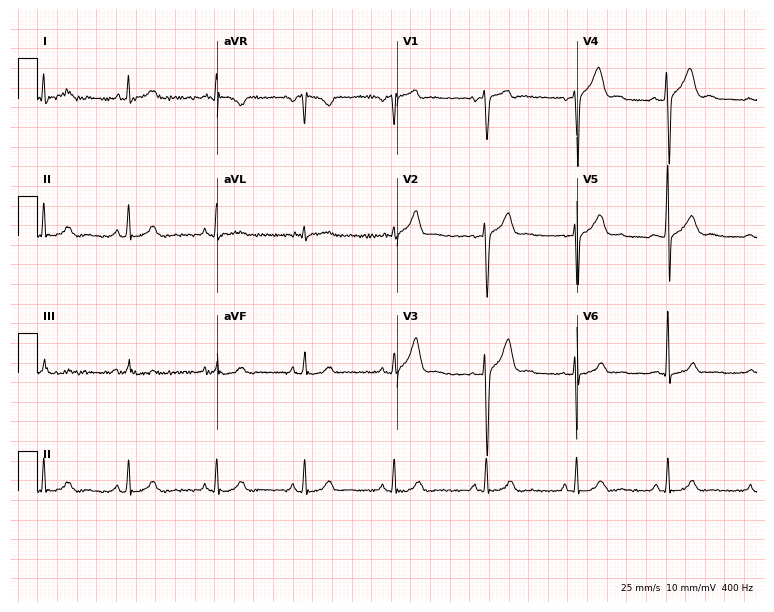
Electrocardiogram (7.3-second recording at 400 Hz), a 23-year-old male patient. Overall reading on record: normal ECG.